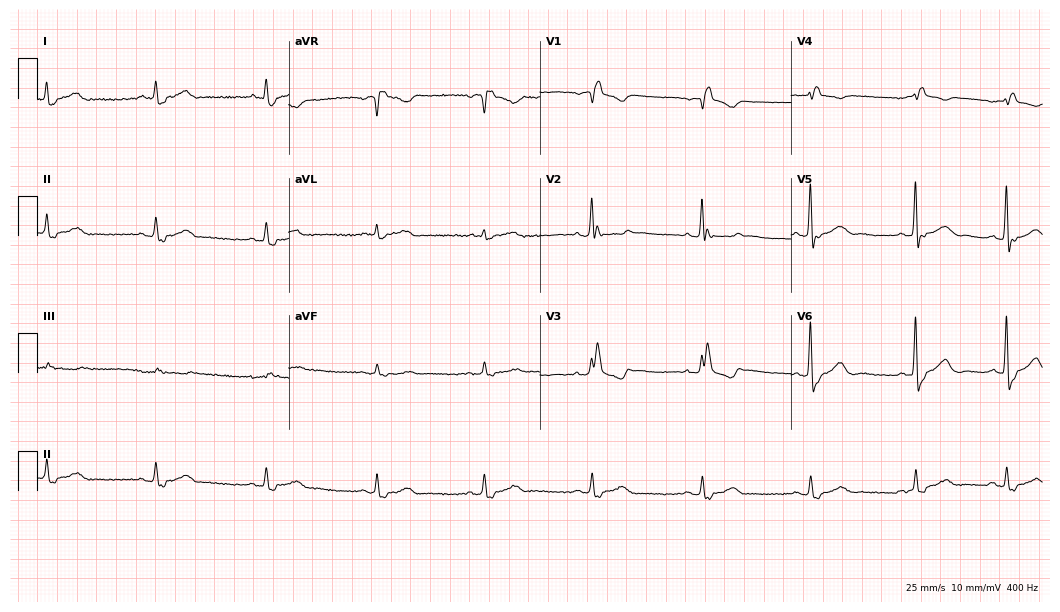
12-lead ECG from a 79-year-old male (10.2-second recording at 400 Hz). Shows right bundle branch block.